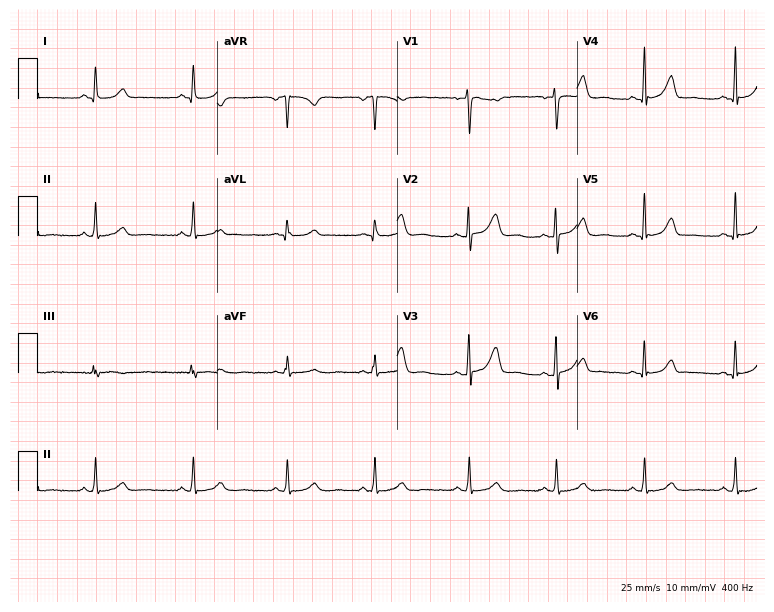
ECG — a female patient, 22 years old. Labelled as a normal ECG.